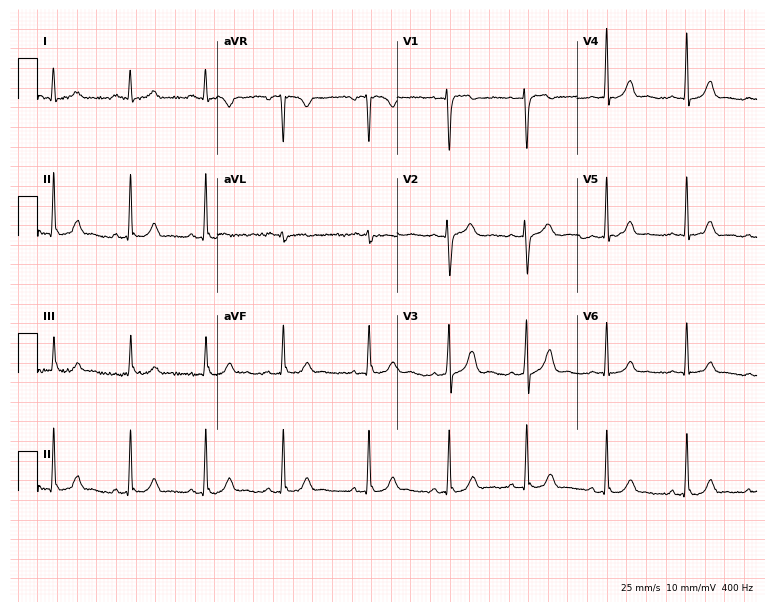
Standard 12-lead ECG recorded from a female, 17 years old (7.3-second recording at 400 Hz). Read as a normal ECG.